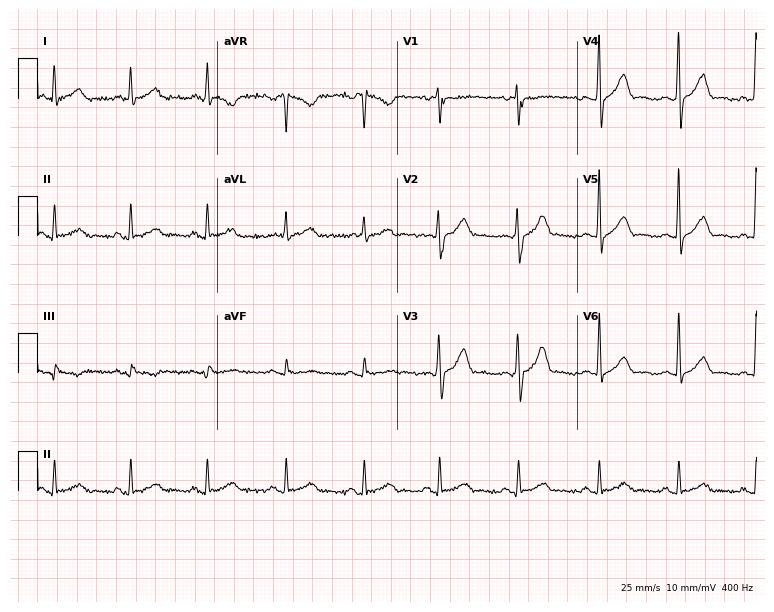
12-lead ECG from a 38-year-old male. Screened for six findings — first-degree AV block, right bundle branch block, left bundle branch block, sinus bradycardia, atrial fibrillation, sinus tachycardia — none is recorded. Findings outside these six are not listed.